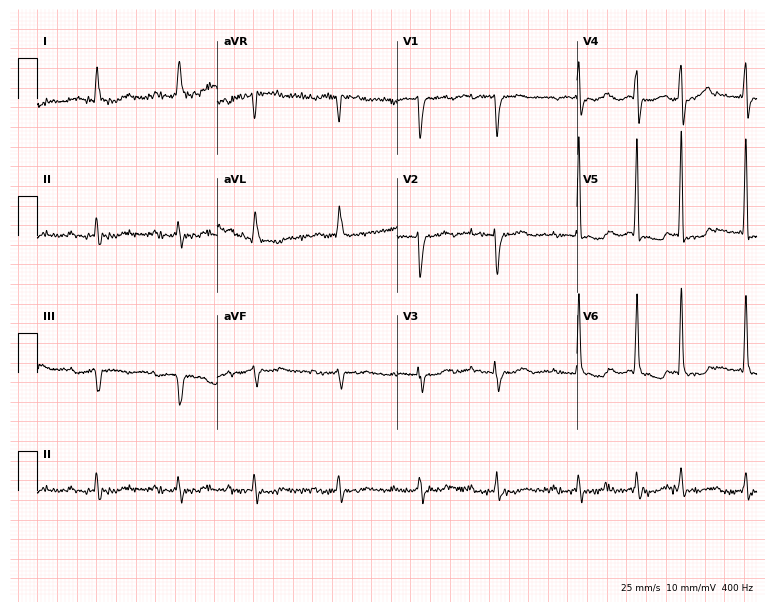
Resting 12-lead electrocardiogram. Patient: an 81-year-old female. None of these six findings is recorded: first-degree AV block, right bundle branch block, left bundle branch block, sinus bradycardia, atrial fibrillation, sinus tachycardia.